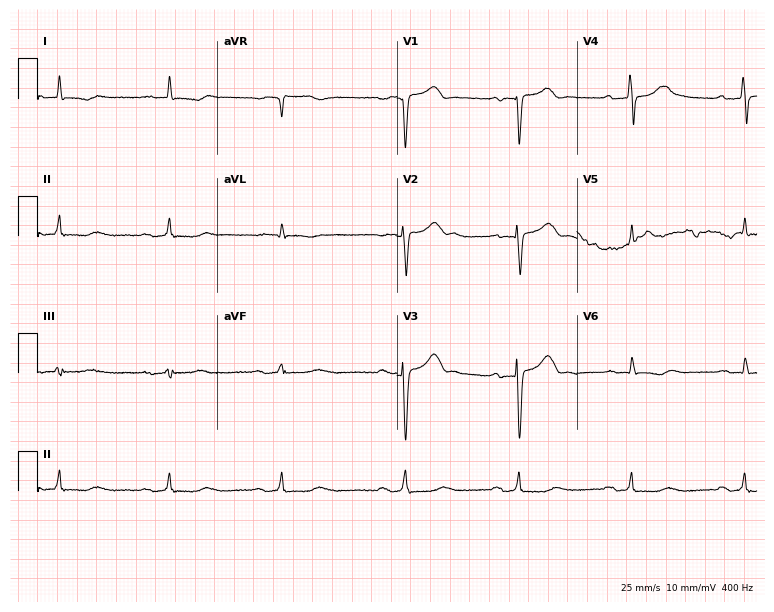
12-lead ECG from a male patient, 74 years old (7.3-second recording at 400 Hz). Shows first-degree AV block.